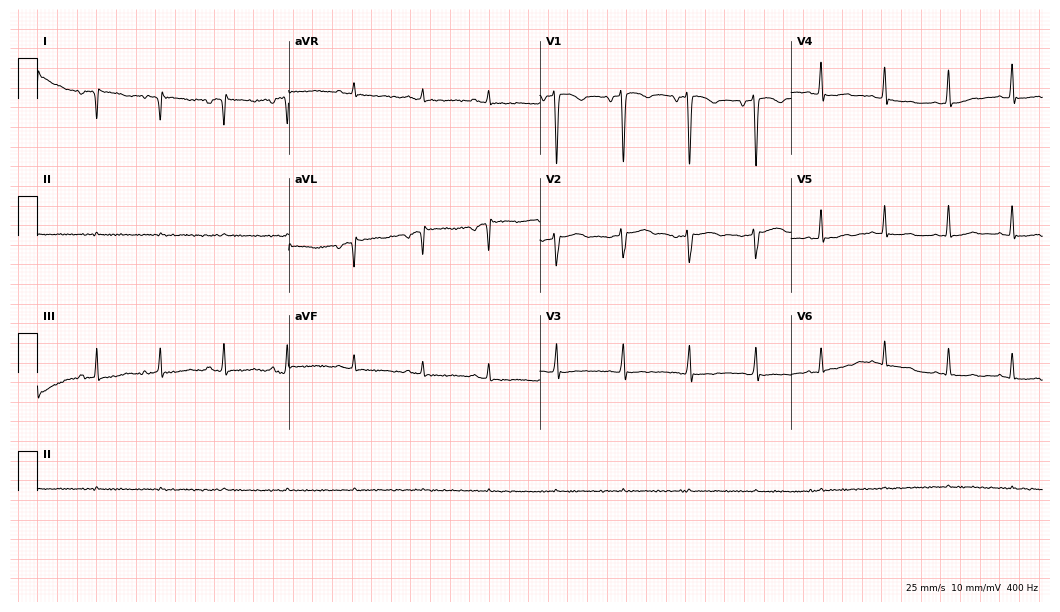
12-lead ECG from a 28-year-old female patient (10.2-second recording at 400 Hz). No first-degree AV block, right bundle branch block (RBBB), left bundle branch block (LBBB), sinus bradycardia, atrial fibrillation (AF) or sinus tachycardia recorded for this tracing. Findings outside these six are not listed.